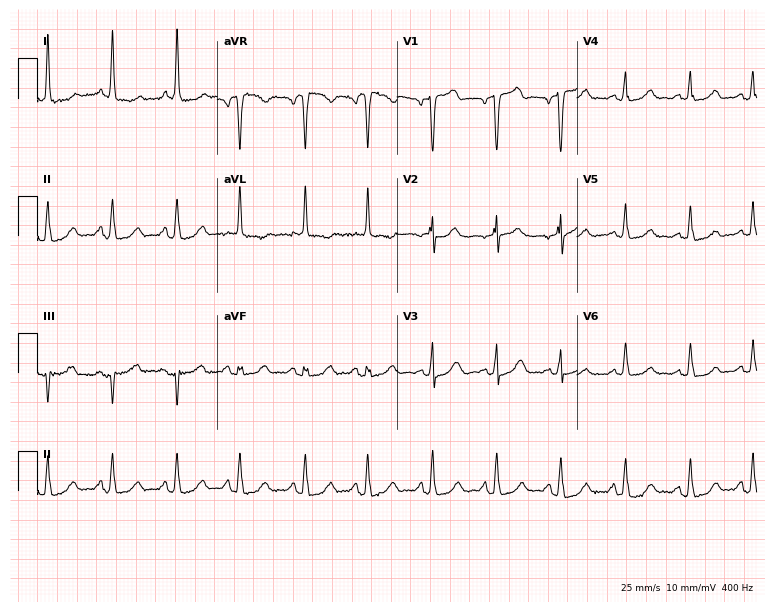
Resting 12-lead electrocardiogram. Patient: a woman, 81 years old. None of these six findings is recorded: first-degree AV block, right bundle branch block (RBBB), left bundle branch block (LBBB), sinus bradycardia, atrial fibrillation (AF), sinus tachycardia.